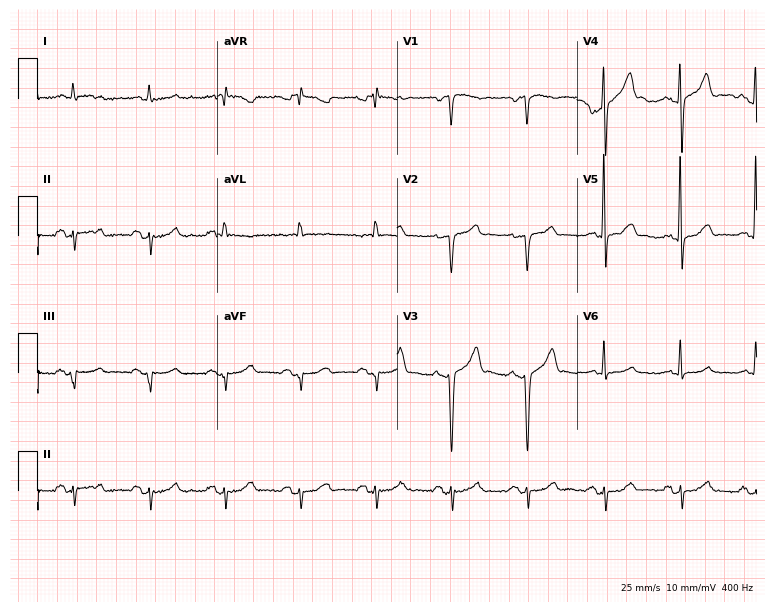
12-lead ECG from a male patient, 67 years old. No first-degree AV block, right bundle branch block, left bundle branch block, sinus bradycardia, atrial fibrillation or sinus tachycardia recorded for this tracing. Other findings, if any, are not listed.